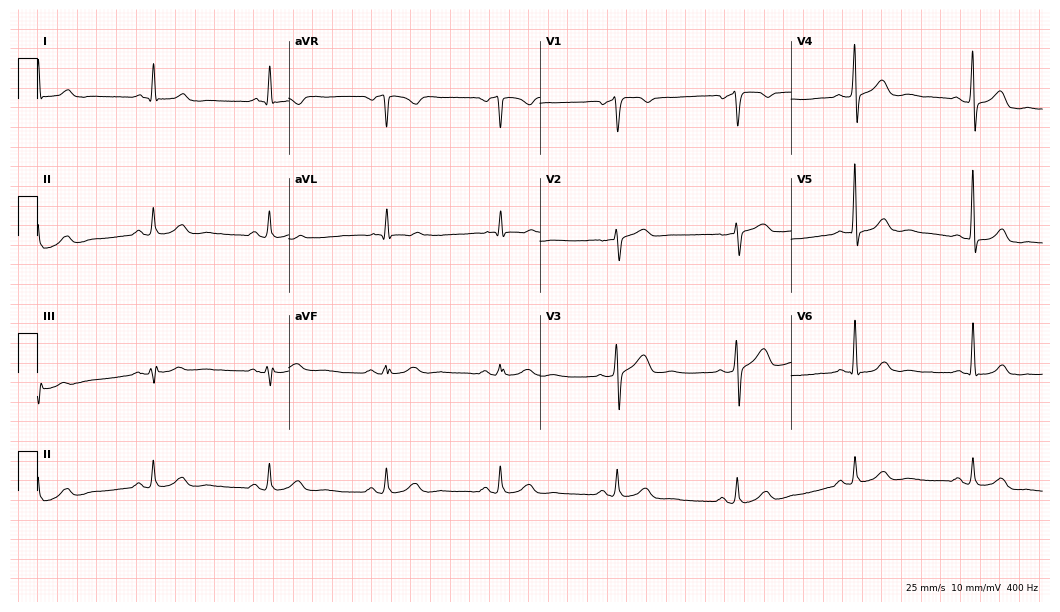
12-lead ECG from a 66-year-old man (10.2-second recording at 400 Hz). Recorded interpretation: within normal limits.